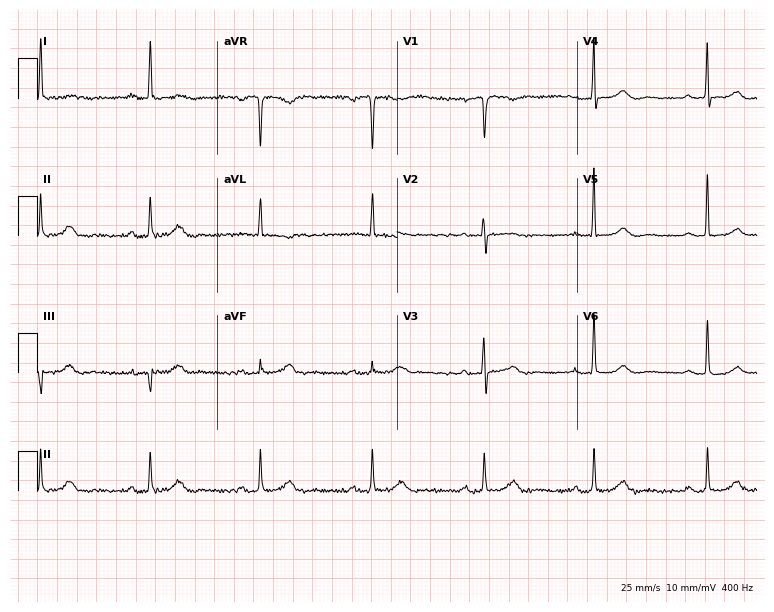
12-lead ECG from a female patient, 66 years old (7.3-second recording at 400 Hz). No first-degree AV block, right bundle branch block (RBBB), left bundle branch block (LBBB), sinus bradycardia, atrial fibrillation (AF) or sinus tachycardia recorded for this tracing. Other findings, if any, are not listed.